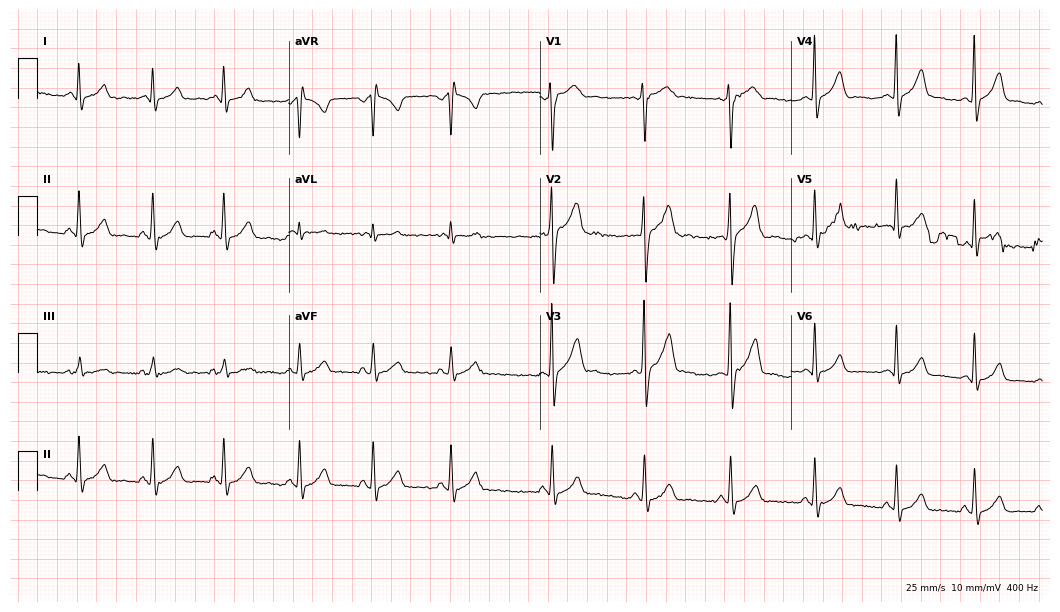
Electrocardiogram (10.2-second recording at 400 Hz), a male, 25 years old. Of the six screened findings (first-degree AV block, right bundle branch block, left bundle branch block, sinus bradycardia, atrial fibrillation, sinus tachycardia), none is recorded.